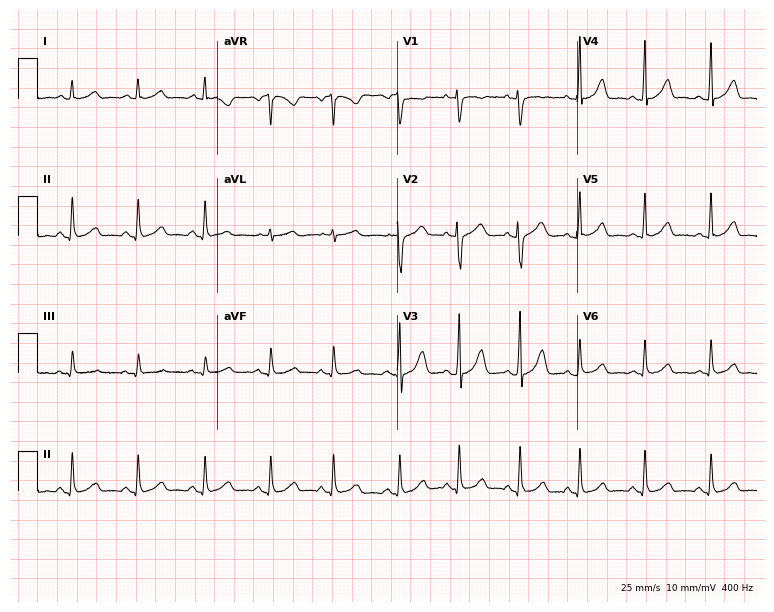
12-lead ECG from a 44-year-old woman. Recorded interpretation: within normal limits.